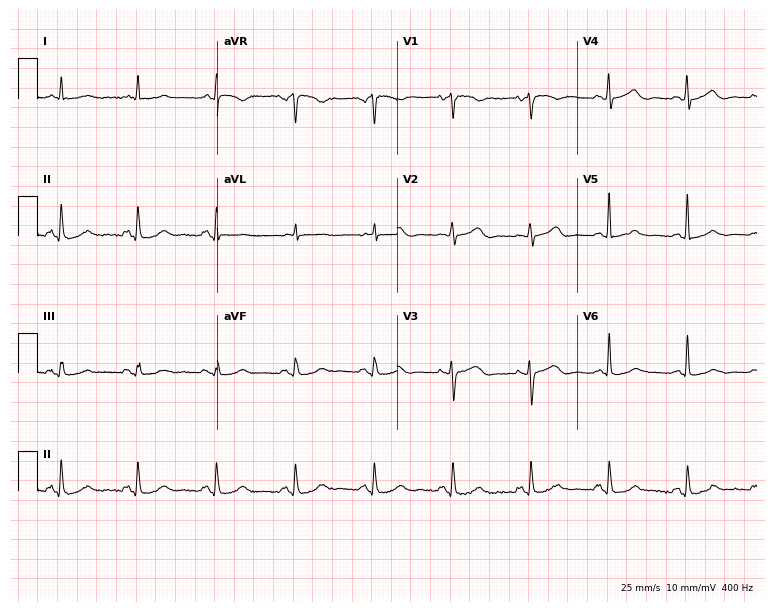
Resting 12-lead electrocardiogram (7.3-second recording at 400 Hz). Patient: a female, 55 years old. Read as a normal ECG.